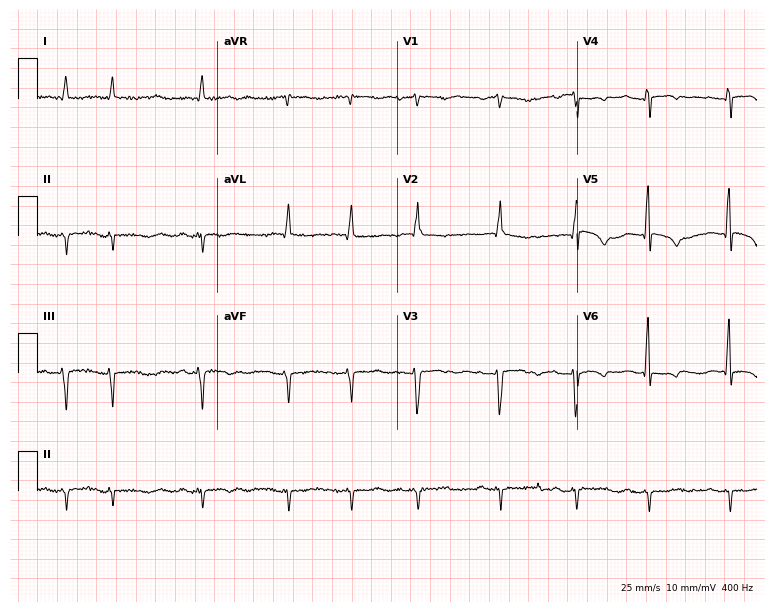
12-lead ECG (7.3-second recording at 400 Hz) from an 80-year-old female patient. Screened for six findings — first-degree AV block, right bundle branch block (RBBB), left bundle branch block (LBBB), sinus bradycardia, atrial fibrillation (AF), sinus tachycardia — none is recorded.